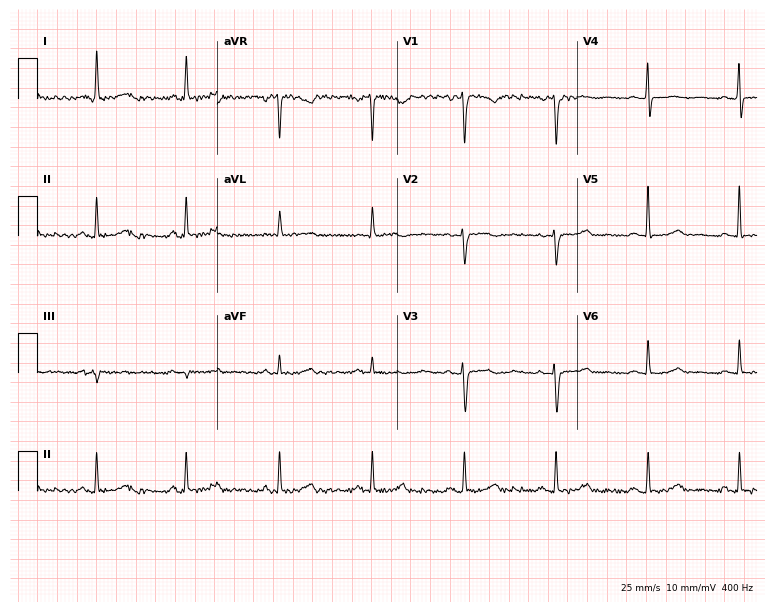
ECG (7.3-second recording at 400 Hz) — a female, 49 years old. Screened for six findings — first-degree AV block, right bundle branch block, left bundle branch block, sinus bradycardia, atrial fibrillation, sinus tachycardia — none is recorded.